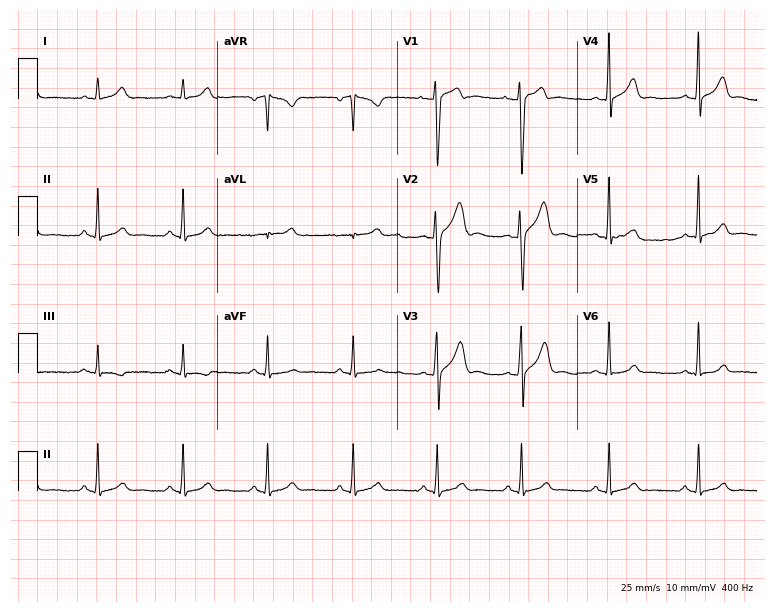
Resting 12-lead electrocardiogram. Patient: a 40-year-old man. None of these six findings is recorded: first-degree AV block, right bundle branch block, left bundle branch block, sinus bradycardia, atrial fibrillation, sinus tachycardia. Findings outside these six are not listed.